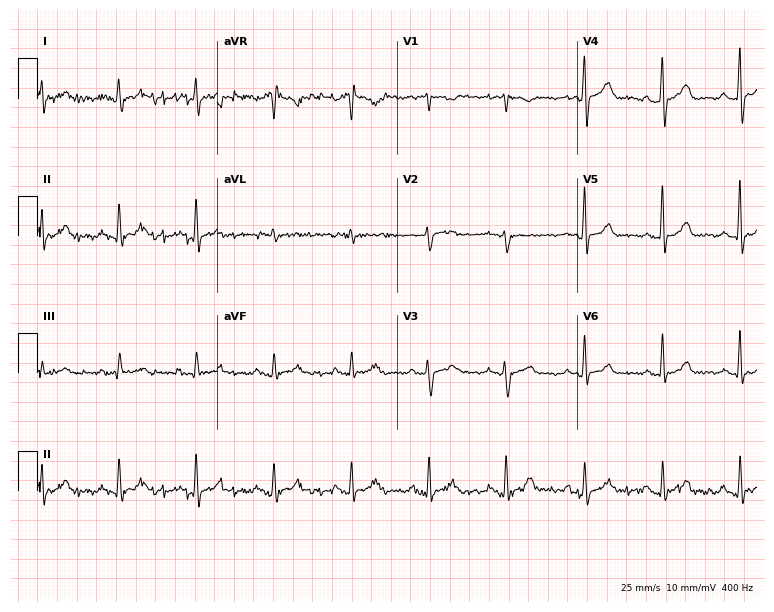
Electrocardiogram, an 82-year-old male. Overall reading on record: normal ECG.